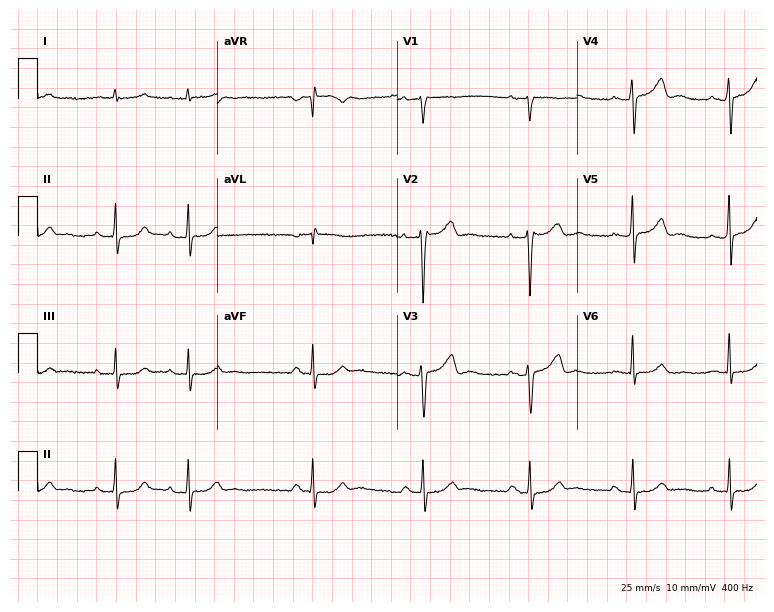
Electrocardiogram, a male patient, 59 years old. Of the six screened findings (first-degree AV block, right bundle branch block (RBBB), left bundle branch block (LBBB), sinus bradycardia, atrial fibrillation (AF), sinus tachycardia), none is recorded. Other findings, if any, are not listed.